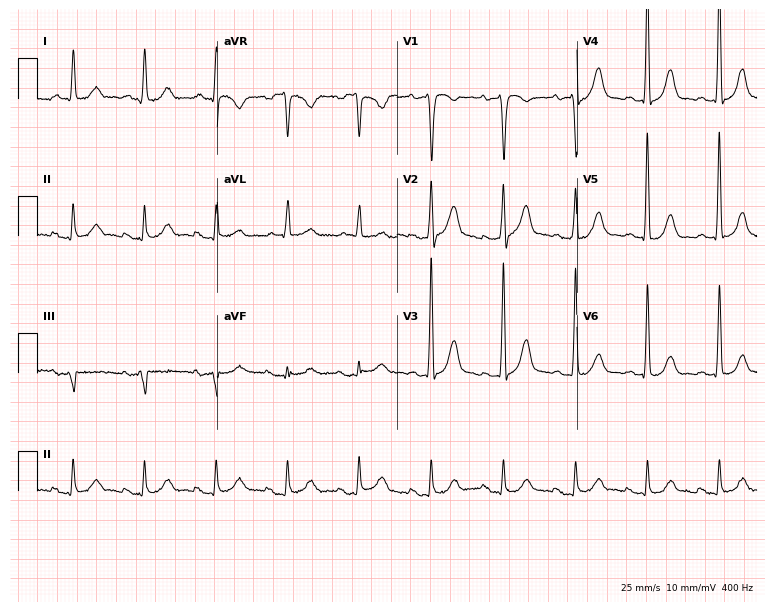
12-lead ECG (7.3-second recording at 400 Hz) from a male patient, 76 years old. Screened for six findings — first-degree AV block, right bundle branch block, left bundle branch block, sinus bradycardia, atrial fibrillation, sinus tachycardia — none is recorded. Other findings, if any, are not listed.